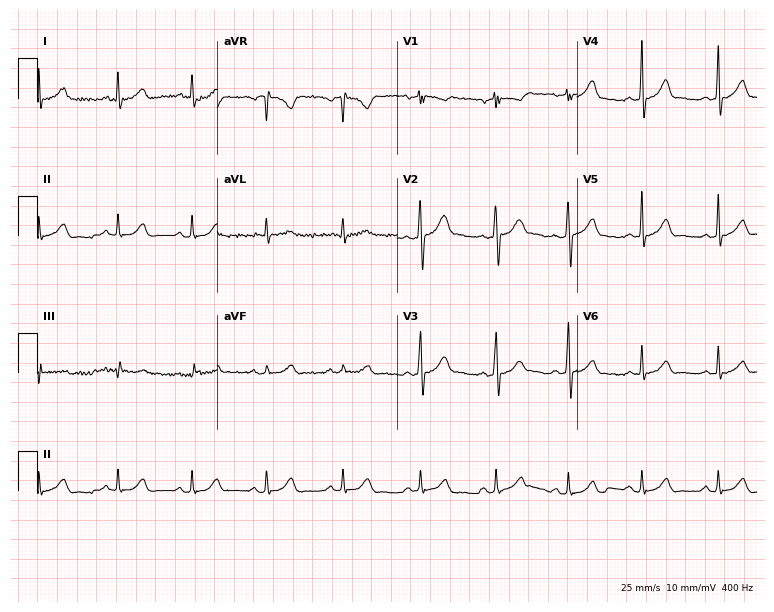
12-lead ECG from a man, 45 years old. Recorded interpretation: within normal limits.